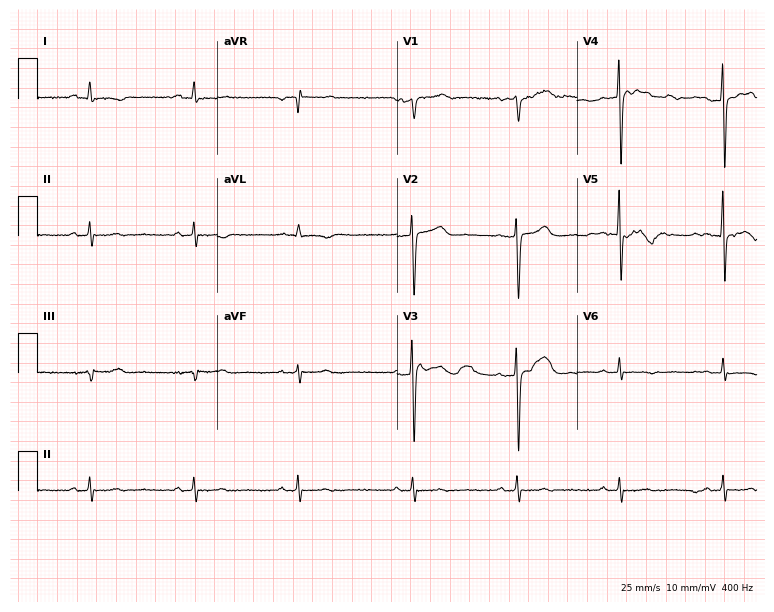
12-lead ECG from a 35-year-old female patient. Screened for six findings — first-degree AV block, right bundle branch block (RBBB), left bundle branch block (LBBB), sinus bradycardia, atrial fibrillation (AF), sinus tachycardia — none is recorded. Findings outside these six are not listed.